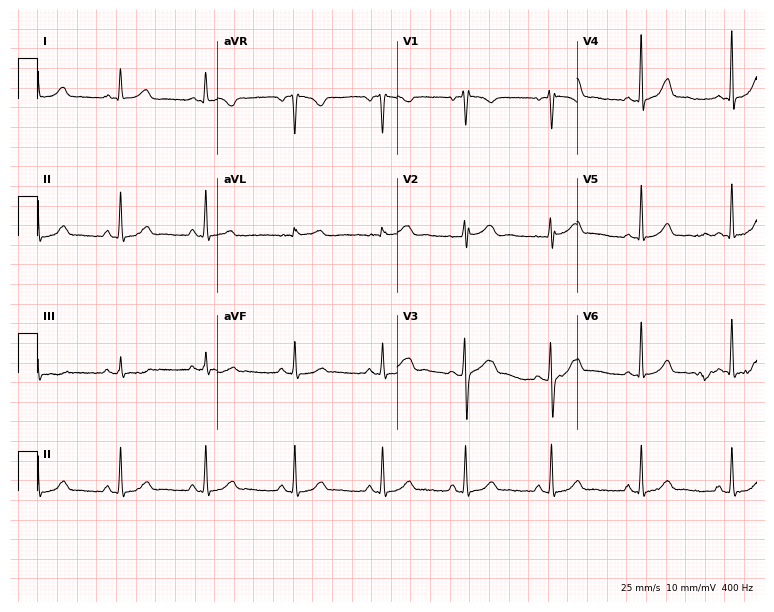
12-lead ECG from a 21-year-old female patient. Labelled as a normal ECG.